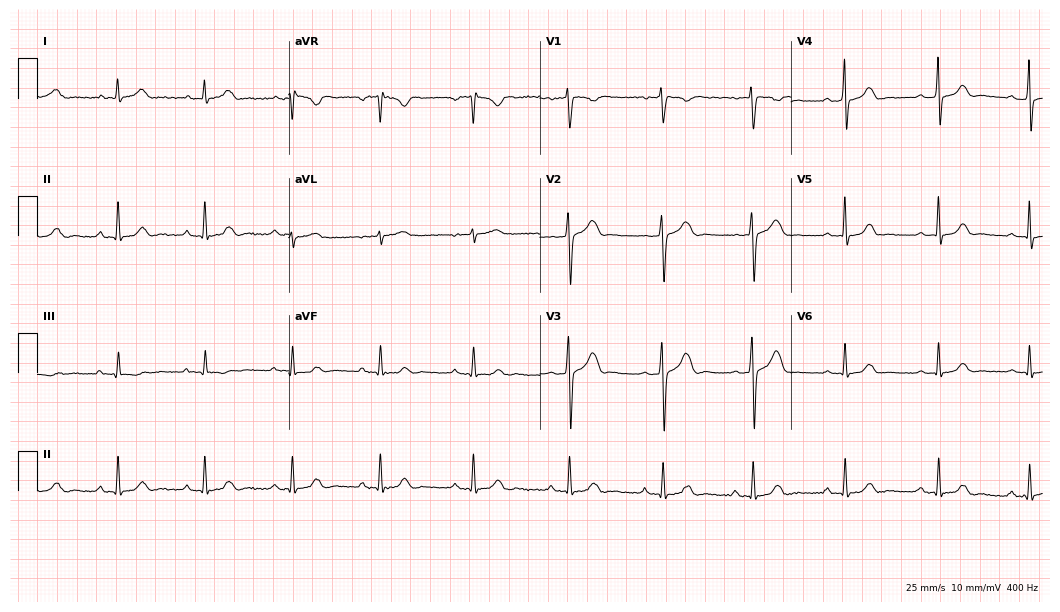
Resting 12-lead electrocardiogram (10.2-second recording at 400 Hz). Patient: a 39-year-old woman. Read as a normal ECG.